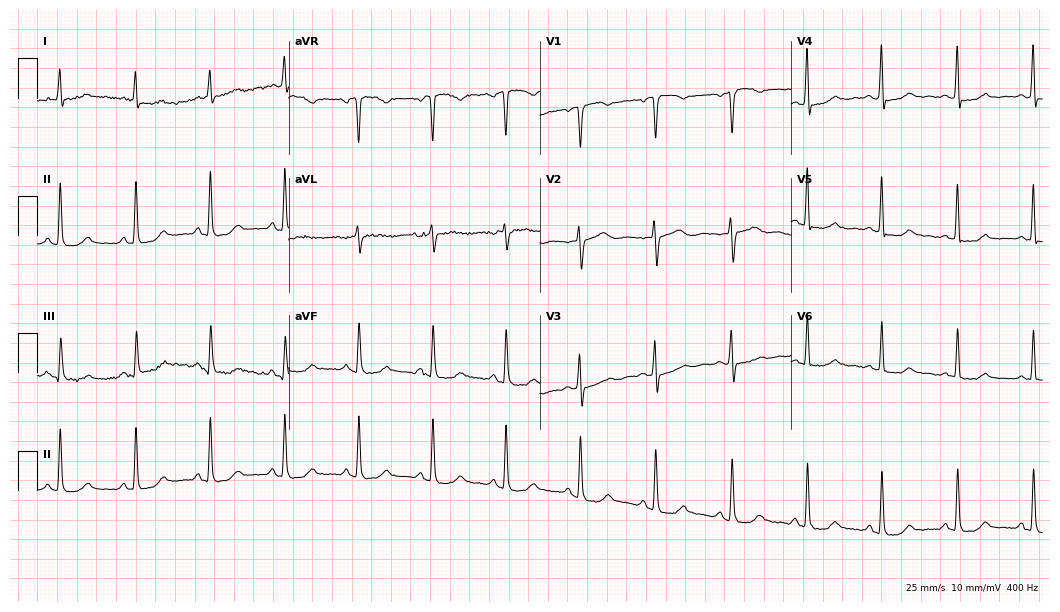
Standard 12-lead ECG recorded from a woman, 46 years old (10.2-second recording at 400 Hz). Read as a normal ECG.